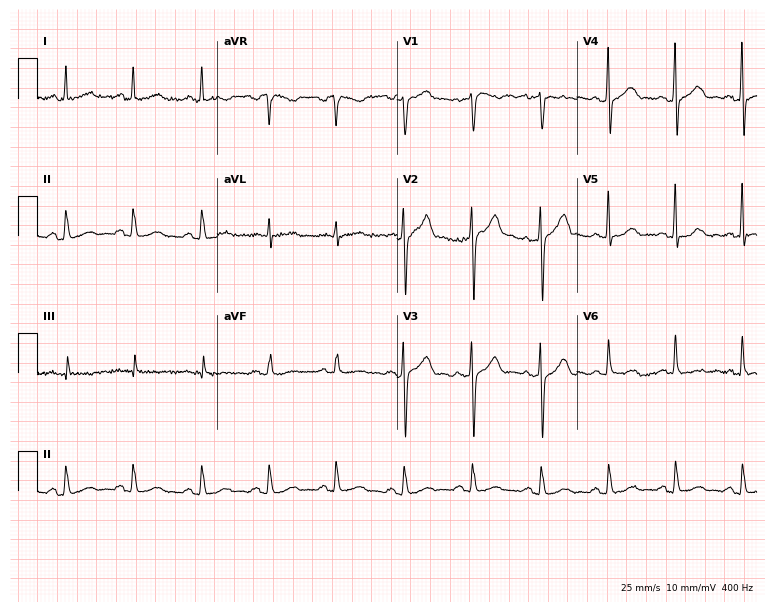
12-lead ECG from a male patient, 46 years old. Recorded interpretation: within normal limits.